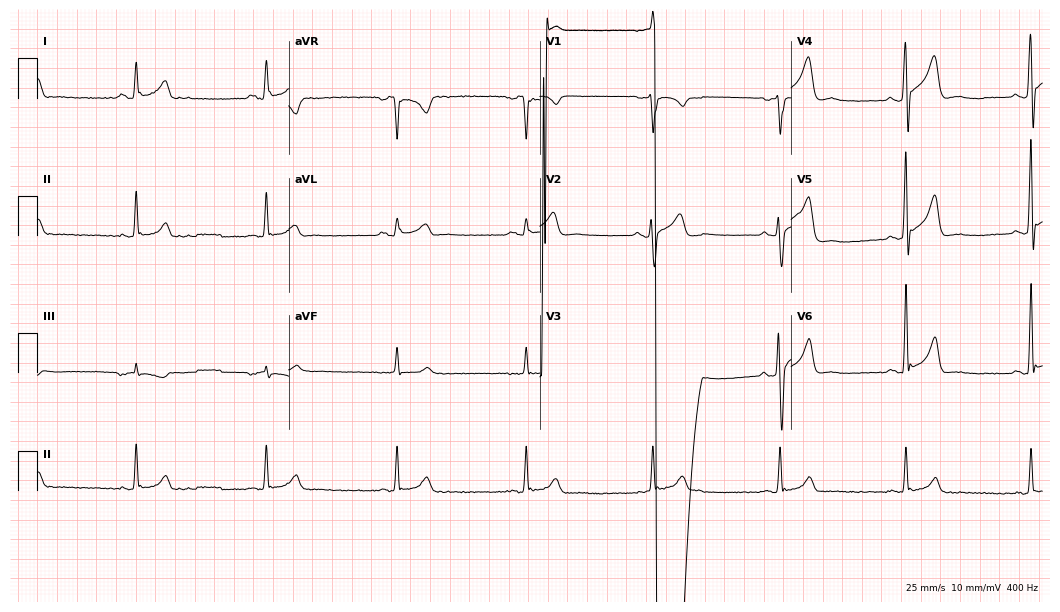
Electrocardiogram (10.2-second recording at 400 Hz), a man, 56 years old. Of the six screened findings (first-degree AV block, right bundle branch block (RBBB), left bundle branch block (LBBB), sinus bradycardia, atrial fibrillation (AF), sinus tachycardia), none is recorded. Only these six findings were labelled.